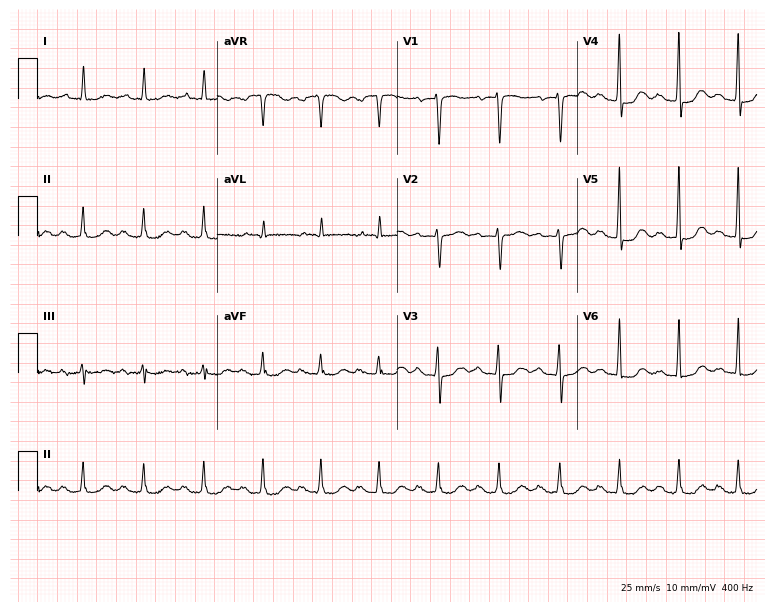
Standard 12-lead ECG recorded from a female, 73 years old (7.3-second recording at 400 Hz). The tracing shows first-degree AV block.